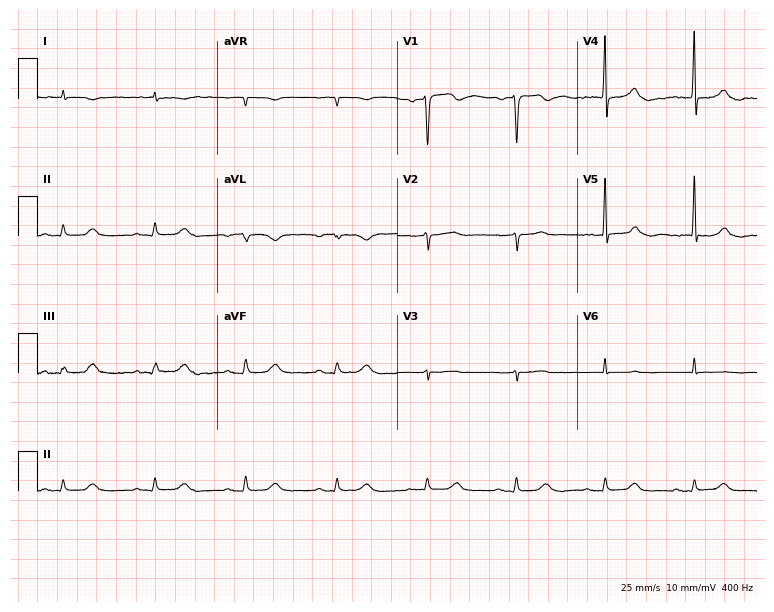
12-lead ECG from a 79-year-old male patient. No first-degree AV block, right bundle branch block (RBBB), left bundle branch block (LBBB), sinus bradycardia, atrial fibrillation (AF) or sinus tachycardia recorded for this tracing.